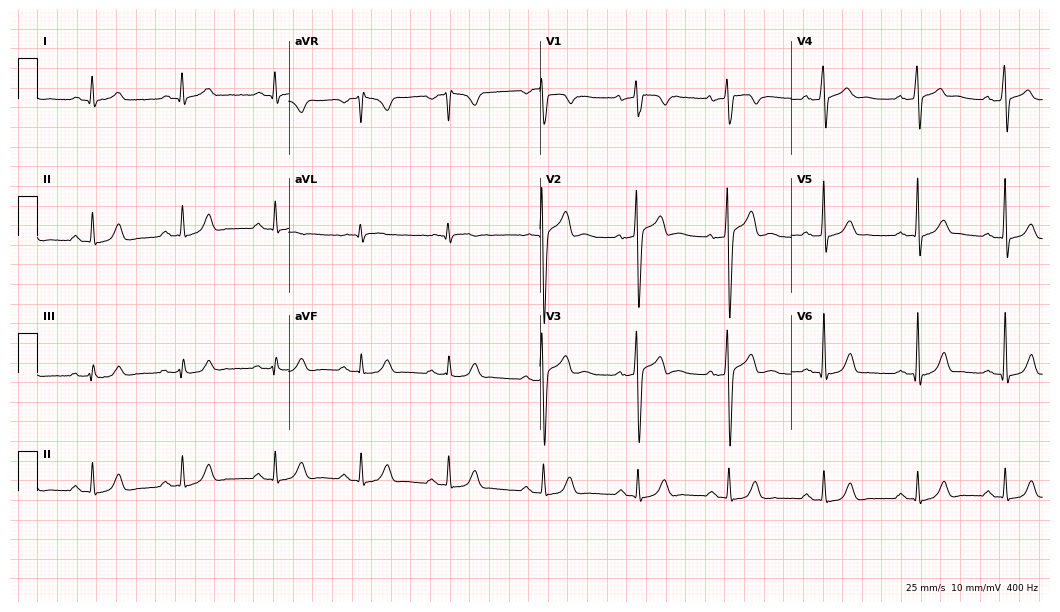
Electrocardiogram (10.2-second recording at 400 Hz), a female patient, 69 years old. Overall reading on record: normal ECG.